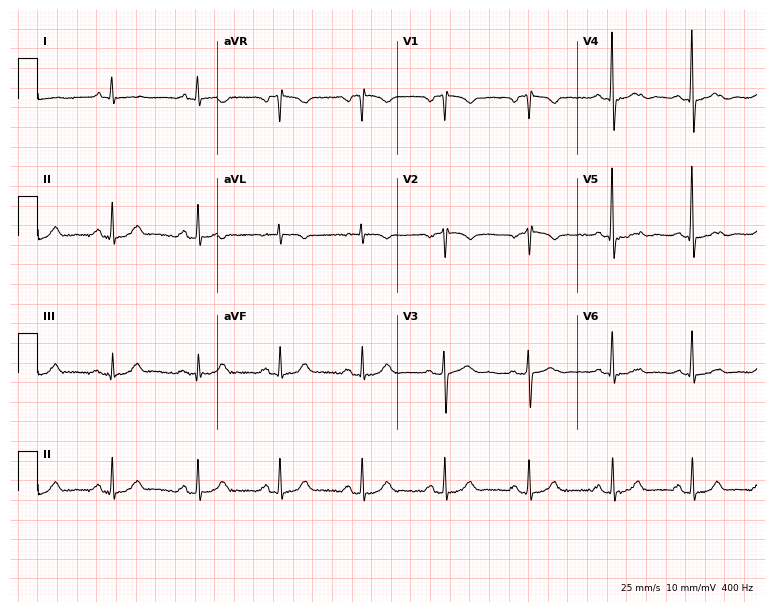
Standard 12-lead ECG recorded from a woman, 75 years old (7.3-second recording at 400 Hz). Read as a normal ECG.